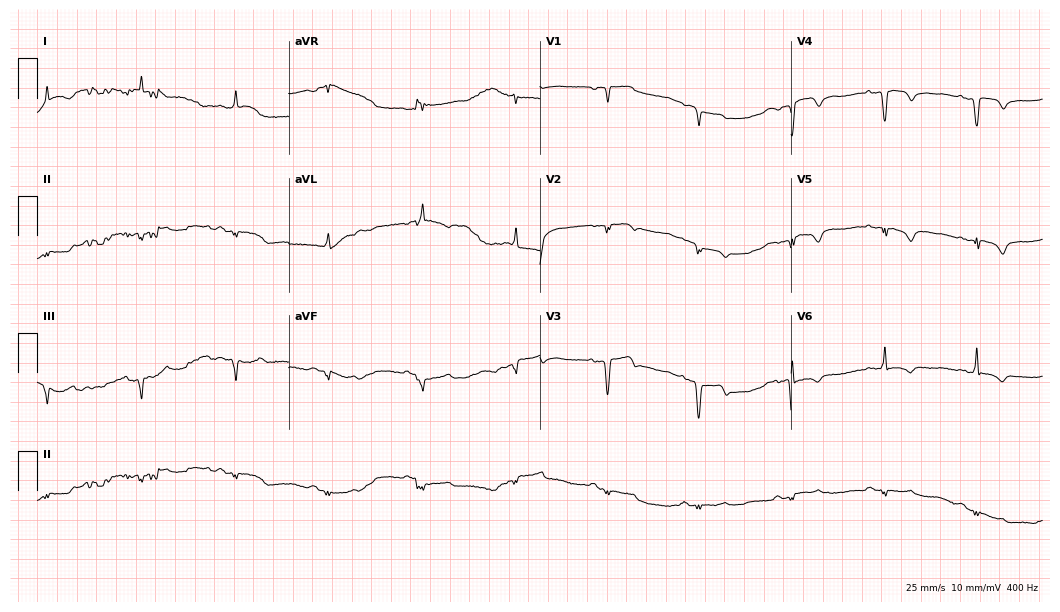
Electrocardiogram (10.2-second recording at 400 Hz), a man, 81 years old. Of the six screened findings (first-degree AV block, right bundle branch block, left bundle branch block, sinus bradycardia, atrial fibrillation, sinus tachycardia), none is recorded. Findings outside these six are not listed.